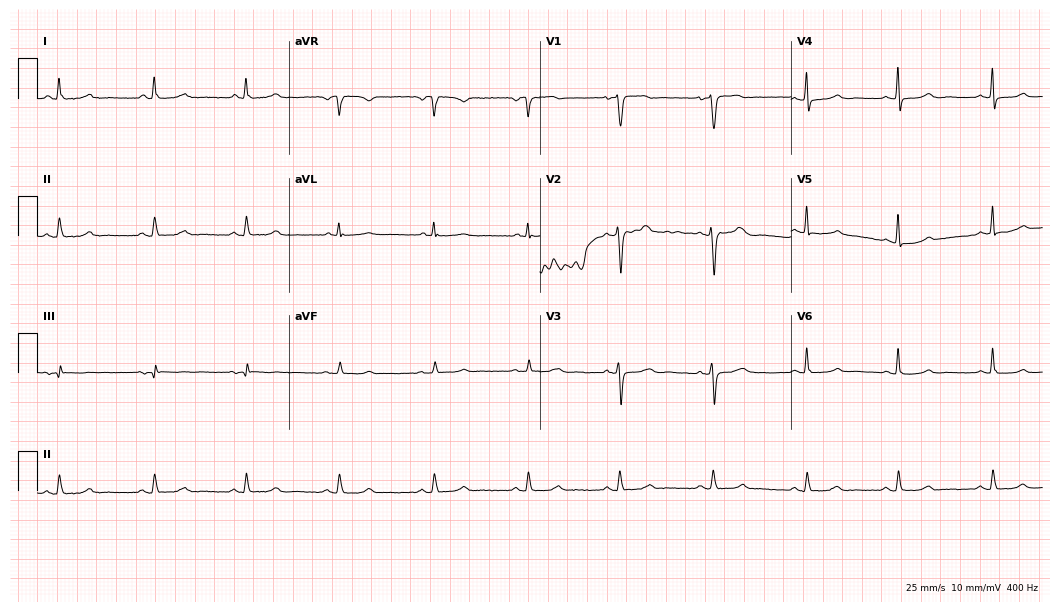
Standard 12-lead ECG recorded from a female, 68 years old. Read as a normal ECG.